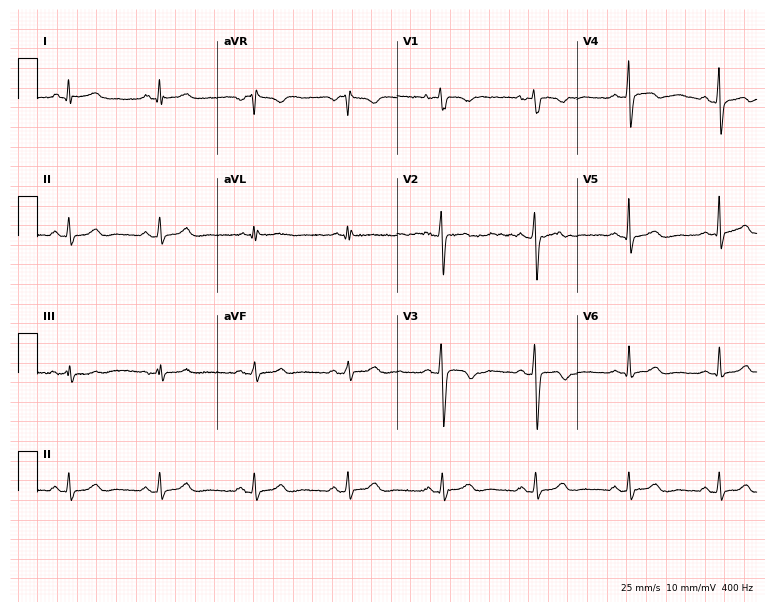
12-lead ECG from a female, 25 years old. No first-degree AV block, right bundle branch block, left bundle branch block, sinus bradycardia, atrial fibrillation or sinus tachycardia recorded for this tracing.